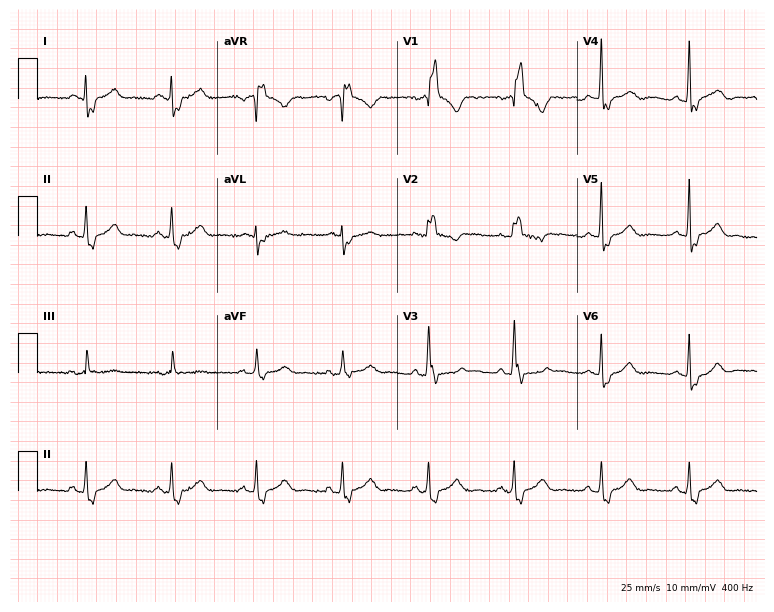
Electrocardiogram, a male patient, 68 years old. Interpretation includes right bundle branch block.